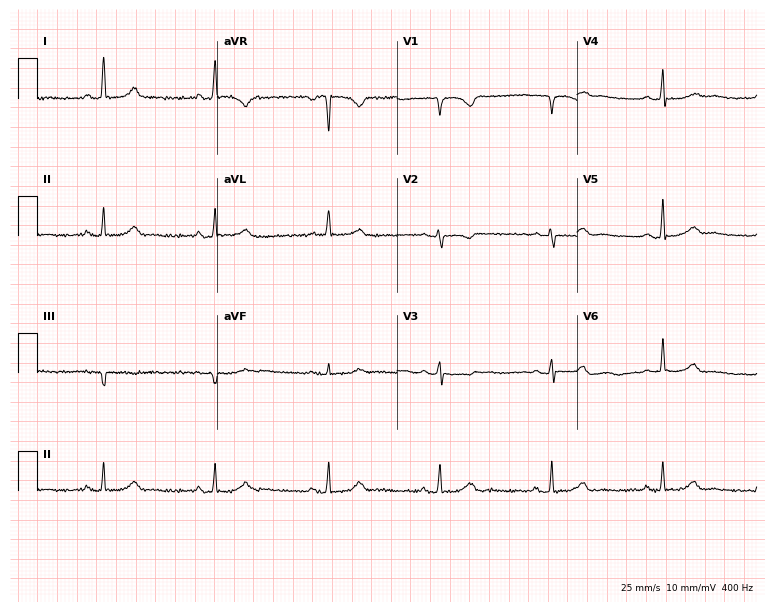
12-lead ECG from a female patient, 61 years old. Recorded interpretation: within normal limits.